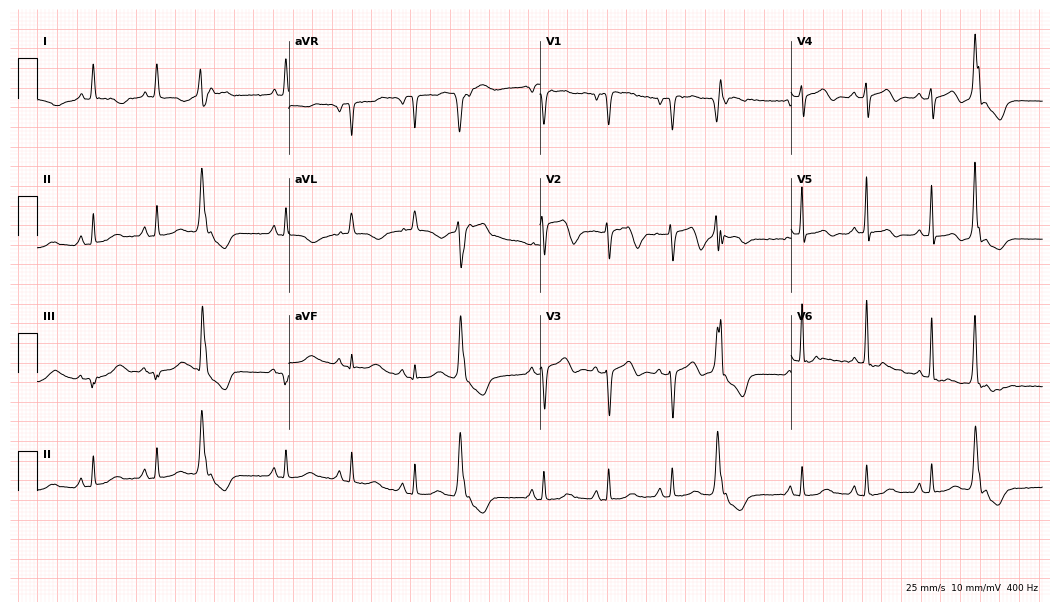
12-lead ECG from an 84-year-old female patient (10.2-second recording at 400 Hz). No first-degree AV block, right bundle branch block (RBBB), left bundle branch block (LBBB), sinus bradycardia, atrial fibrillation (AF) or sinus tachycardia recorded for this tracing. Findings outside these six are not listed.